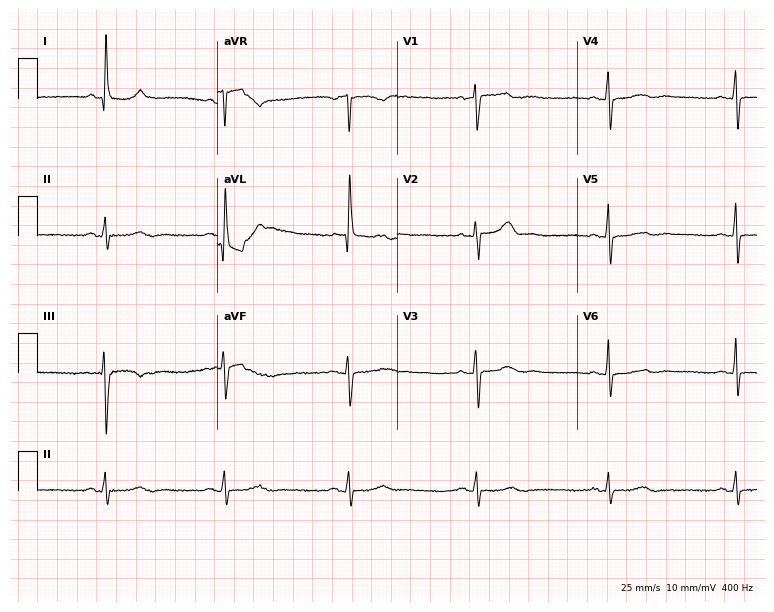
12-lead ECG (7.3-second recording at 400 Hz) from a female patient, 62 years old. Findings include sinus bradycardia (a sinus rate of 50 beats per minute or less).